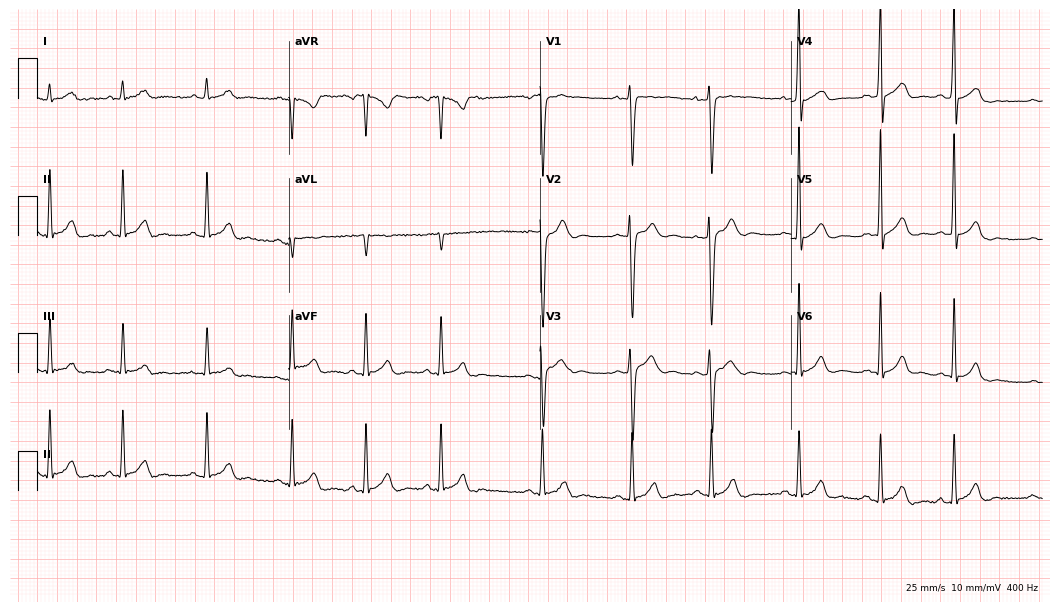
Standard 12-lead ECG recorded from a male, 18 years old (10.2-second recording at 400 Hz). Read as a normal ECG.